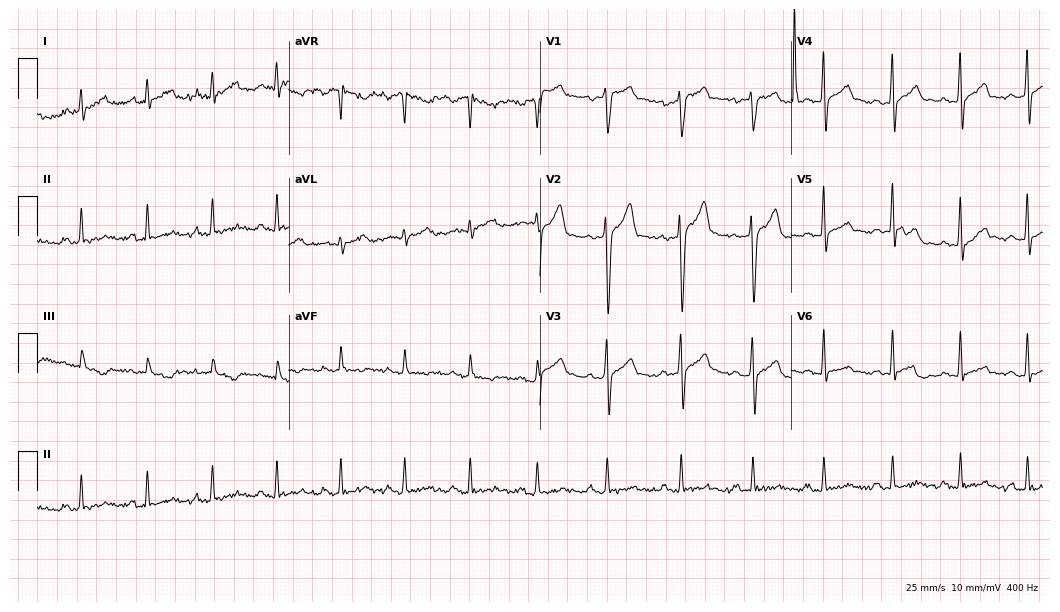
ECG (10.2-second recording at 400 Hz) — a female patient, 37 years old. Labelled as a normal ECG.